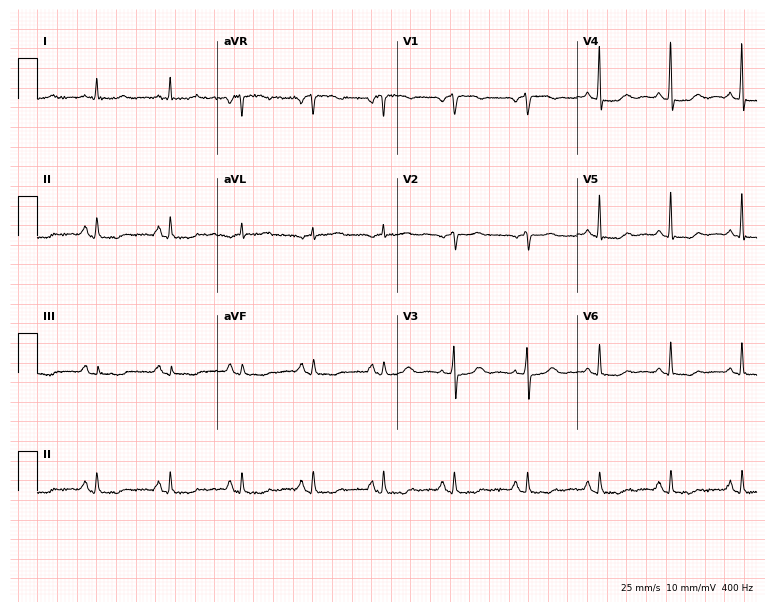
12-lead ECG (7.3-second recording at 400 Hz) from a 71-year-old woman. Screened for six findings — first-degree AV block, right bundle branch block, left bundle branch block, sinus bradycardia, atrial fibrillation, sinus tachycardia — none is recorded.